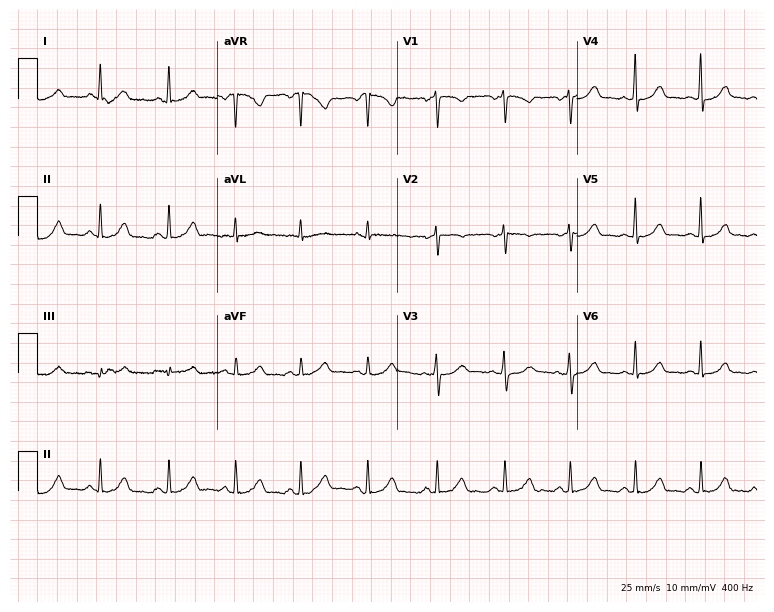
Electrocardiogram, a female, 42 years old. Overall reading on record: normal ECG.